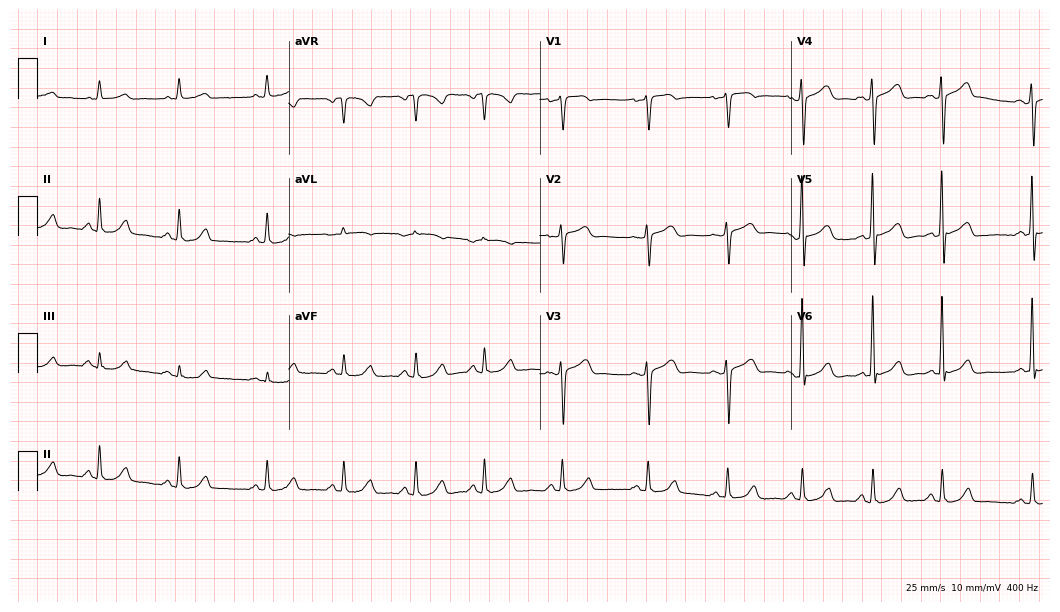
12-lead ECG from a female, 58 years old. Labelled as a normal ECG.